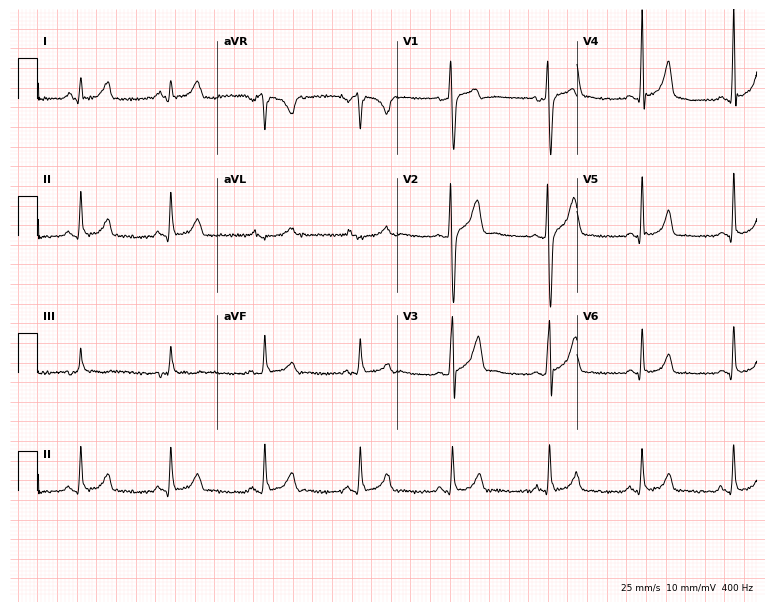
12-lead ECG (7.3-second recording at 400 Hz) from a man, 21 years old. Screened for six findings — first-degree AV block, right bundle branch block (RBBB), left bundle branch block (LBBB), sinus bradycardia, atrial fibrillation (AF), sinus tachycardia — none is recorded.